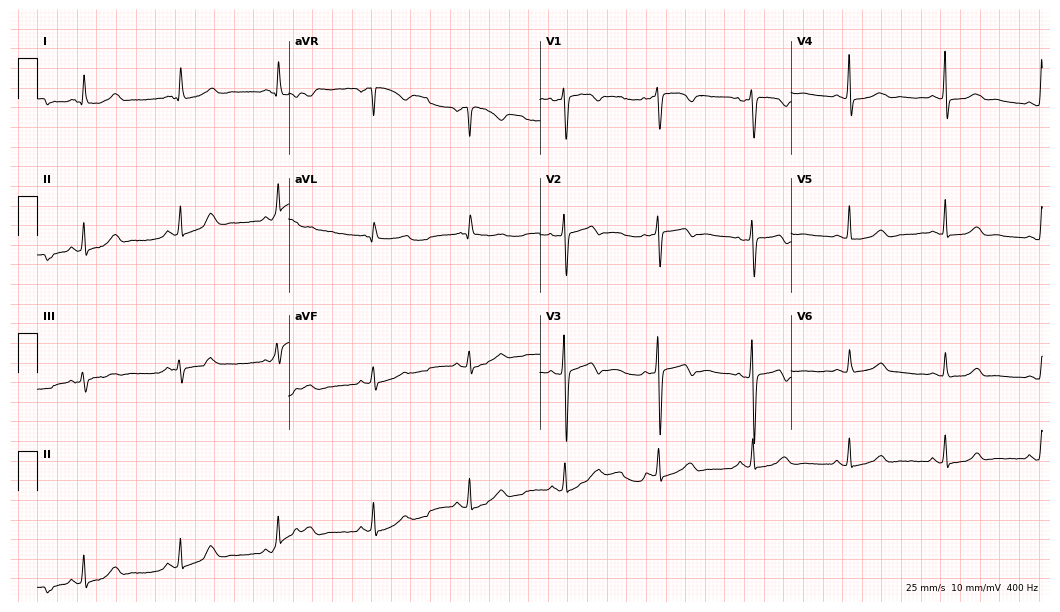
ECG (10.2-second recording at 400 Hz) — a 49-year-old female. Labelled as a normal ECG.